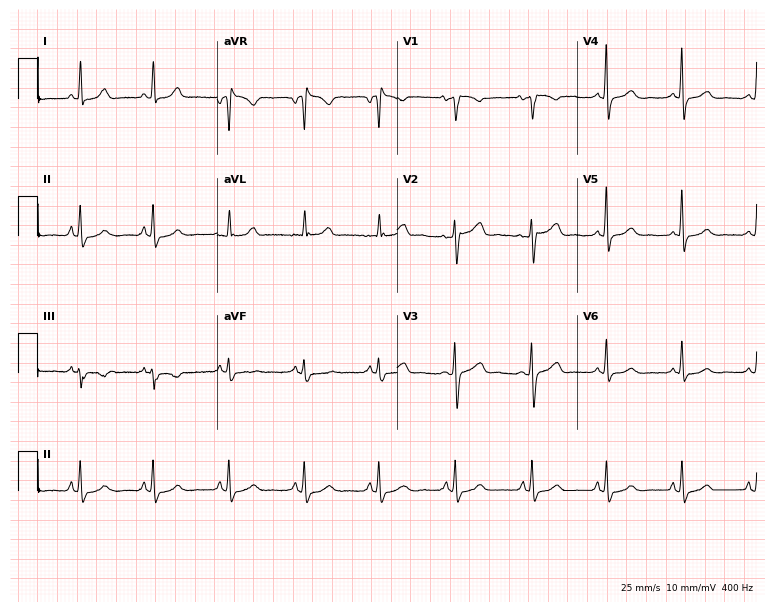
Electrocardiogram (7.3-second recording at 400 Hz), a 53-year-old woman. Of the six screened findings (first-degree AV block, right bundle branch block (RBBB), left bundle branch block (LBBB), sinus bradycardia, atrial fibrillation (AF), sinus tachycardia), none is recorded.